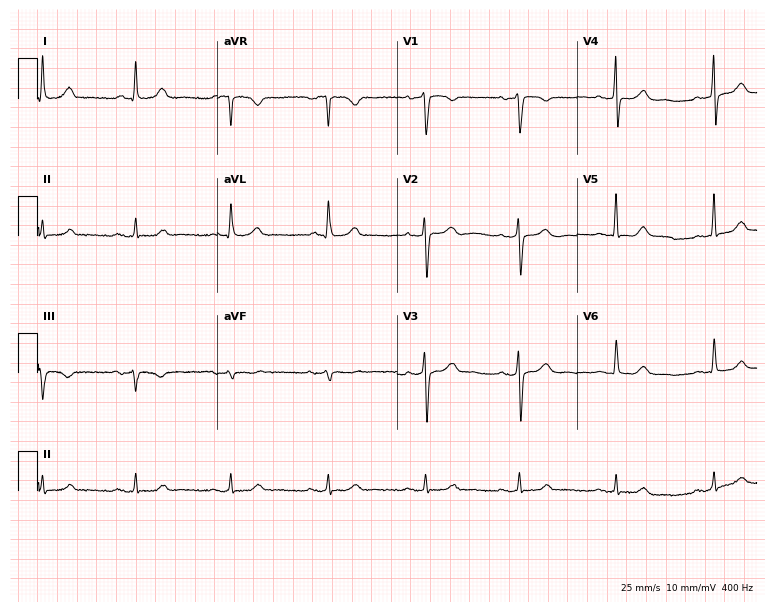
Standard 12-lead ECG recorded from a 63-year-old woman. None of these six findings is recorded: first-degree AV block, right bundle branch block, left bundle branch block, sinus bradycardia, atrial fibrillation, sinus tachycardia. Findings outside these six are not listed.